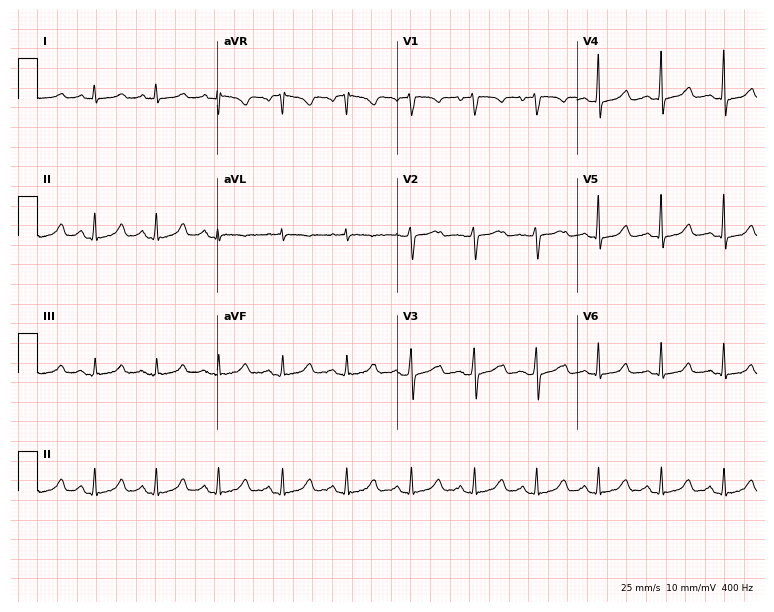
Resting 12-lead electrocardiogram (7.3-second recording at 400 Hz). Patient: a 36-year-old female. None of these six findings is recorded: first-degree AV block, right bundle branch block, left bundle branch block, sinus bradycardia, atrial fibrillation, sinus tachycardia.